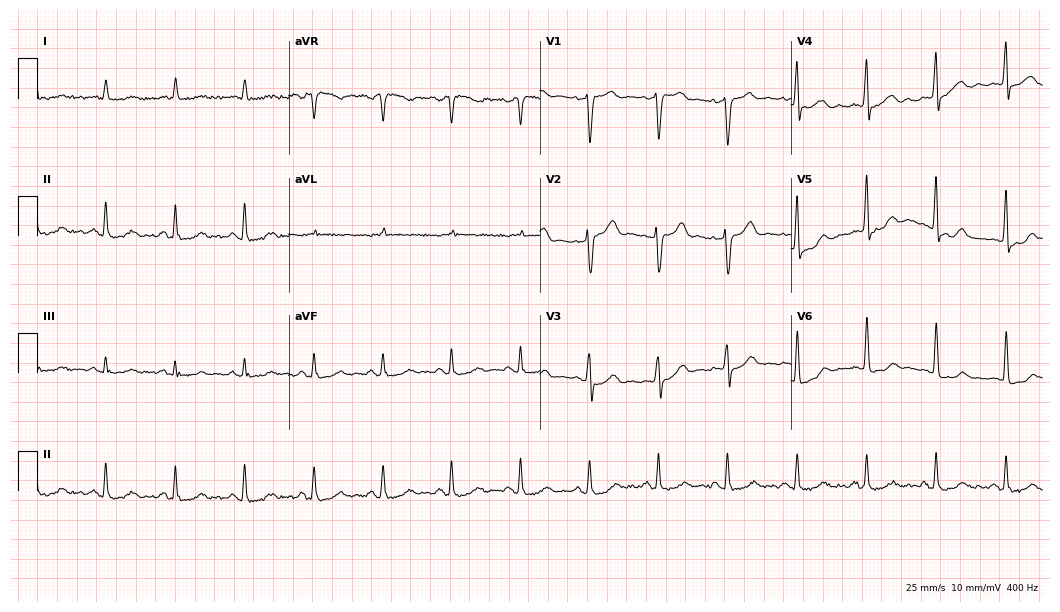
Standard 12-lead ECG recorded from a 71-year-old man (10.2-second recording at 400 Hz). Read as a normal ECG.